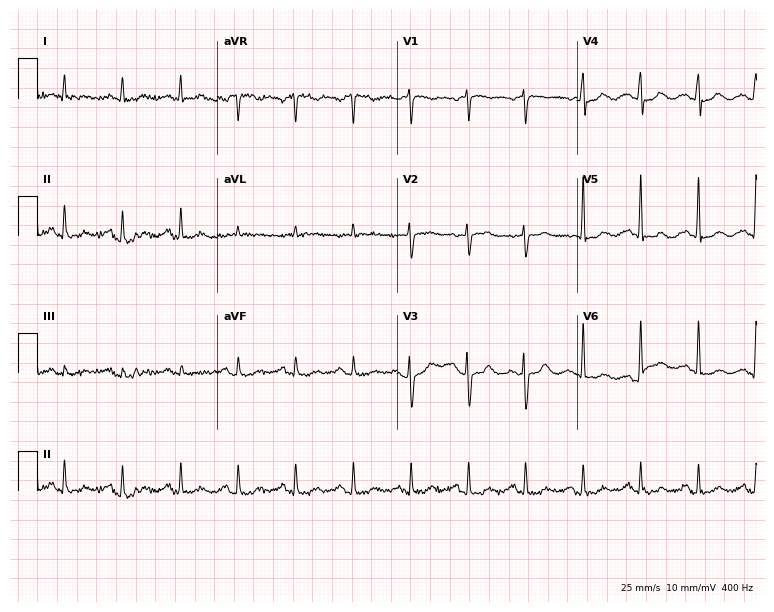
ECG — a 76-year-old woman. Findings include sinus tachycardia (a sinus rate of 100 beats per minute or more).